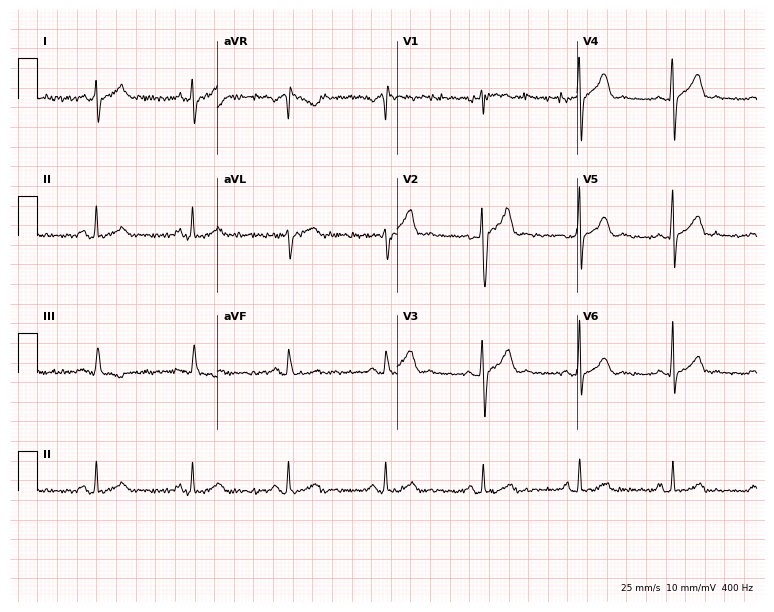
Electrocardiogram, a male patient, 32 years old. Overall reading on record: normal ECG.